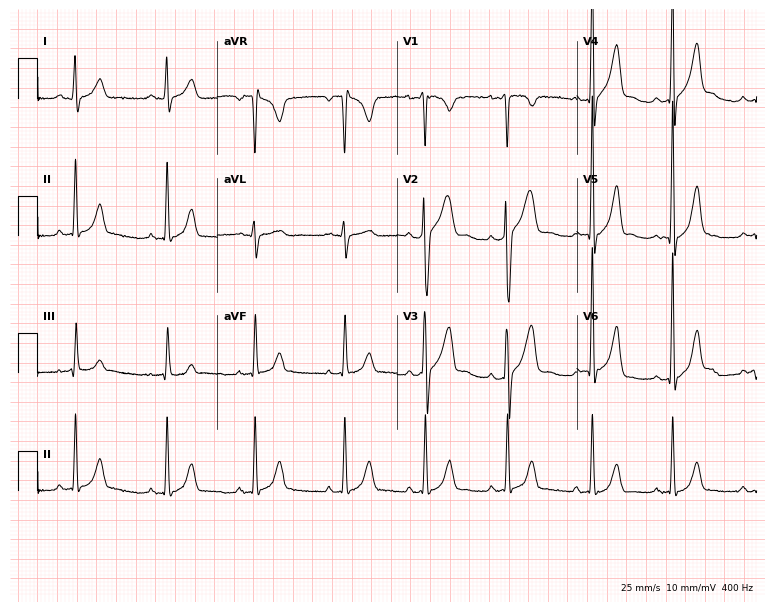
Resting 12-lead electrocardiogram (7.3-second recording at 400 Hz). Patient: a 26-year-old man. Read as a normal ECG.